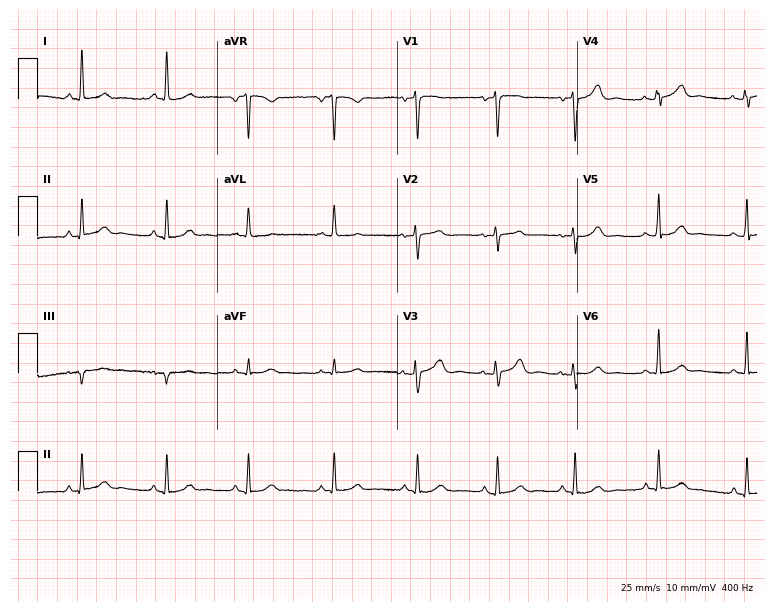
Resting 12-lead electrocardiogram (7.3-second recording at 400 Hz). Patient: a 24-year-old woman. Read as a normal ECG.